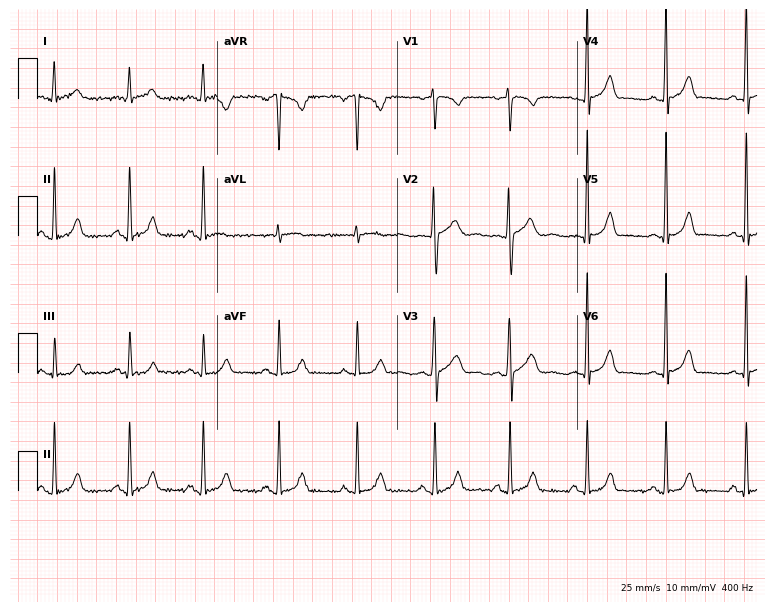
12-lead ECG (7.3-second recording at 400 Hz) from a 30-year-old female patient. Labelled as a normal ECG.